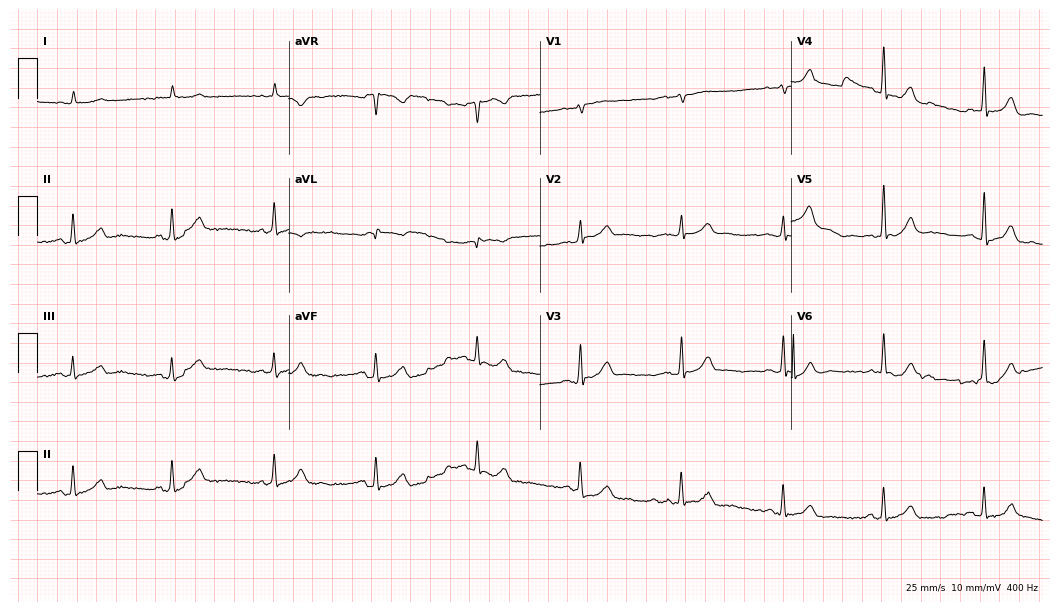
Standard 12-lead ECG recorded from a male patient, 83 years old. None of these six findings is recorded: first-degree AV block, right bundle branch block (RBBB), left bundle branch block (LBBB), sinus bradycardia, atrial fibrillation (AF), sinus tachycardia. Findings outside these six are not listed.